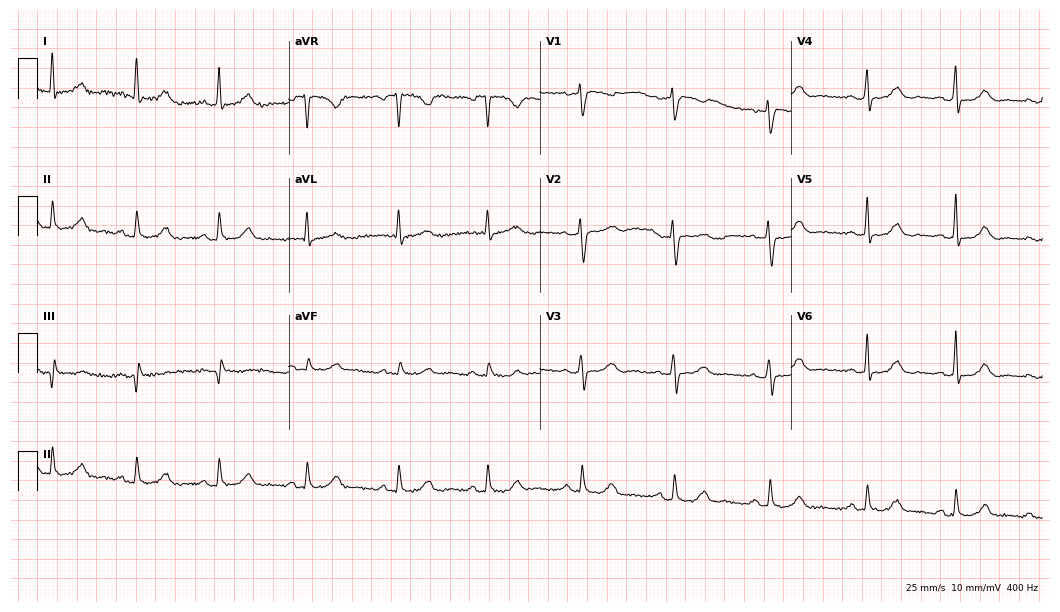
12-lead ECG from a 51-year-old female patient. Recorded interpretation: within normal limits.